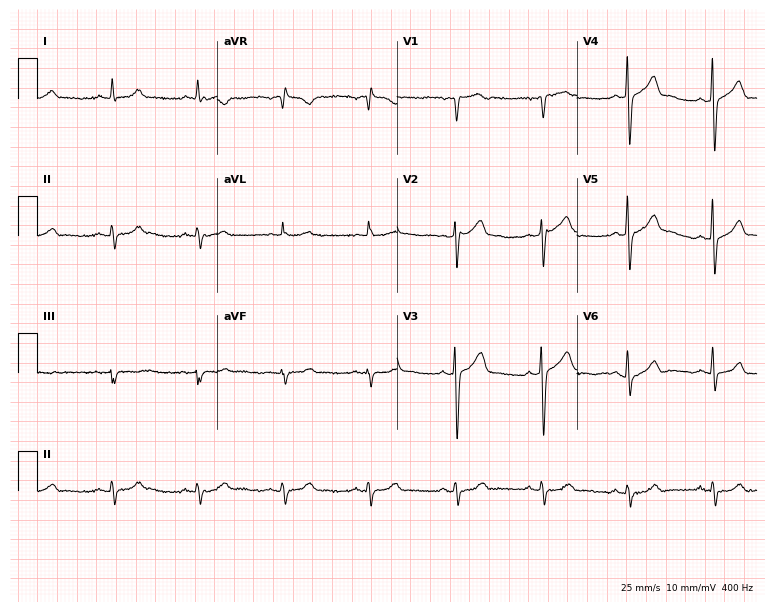
Resting 12-lead electrocardiogram (7.3-second recording at 400 Hz). Patient: a male, 80 years old. None of these six findings is recorded: first-degree AV block, right bundle branch block (RBBB), left bundle branch block (LBBB), sinus bradycardia, atrial fibrillation (AF), sinus tachycardia. Only these six findings were labelled.